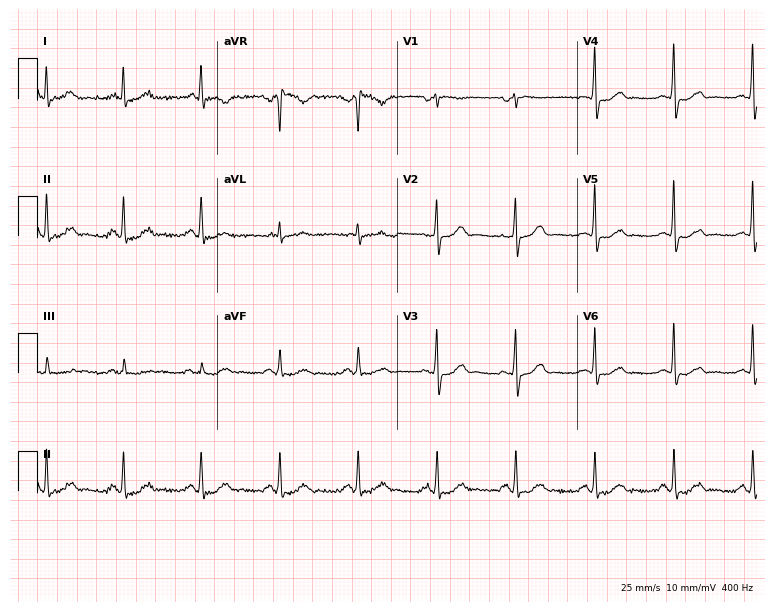
Resting 12-lead electrocardiogram. Patient: a 63-year-old man. Read as a normal ECG.